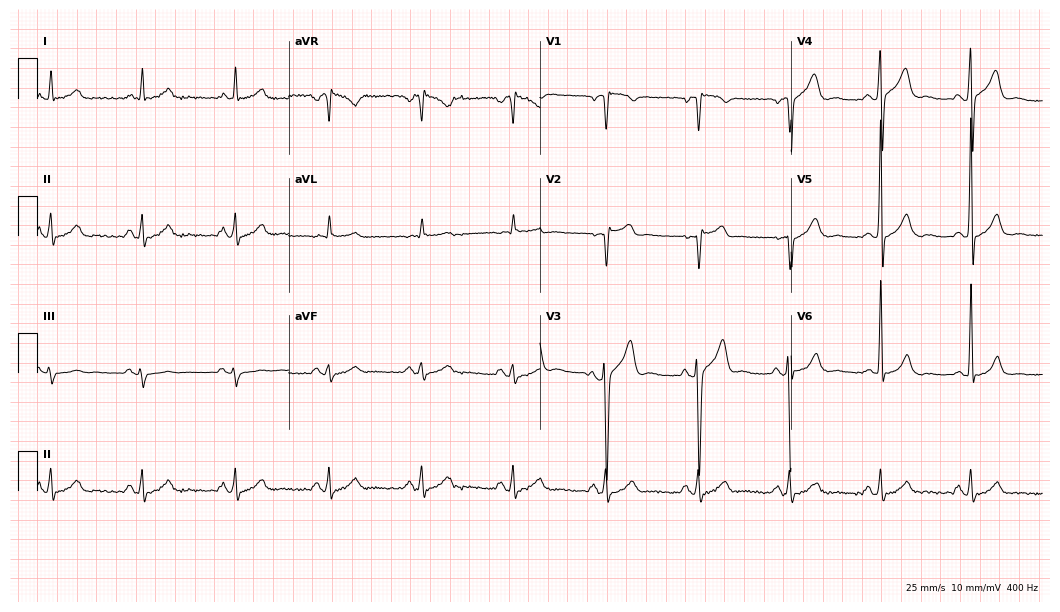
Standard 12-lead ECG recorded from a 58-year-old male (10.2-second recording at 400 Hz). None of these six findings is recorded: first-degree AV block, right bundle branch block, left bundle branch block, sinus bradycardia, atrial fibrillation, sinus tachycardia.